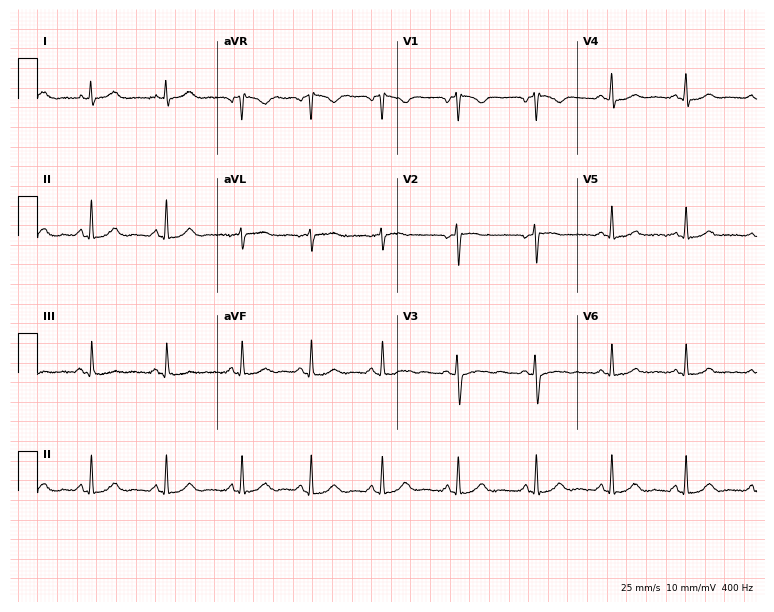
12-lead ECG from a female patient, 36 years old (7.3-second recording at 400 Hz). Recorded interpretation: within normal limits.